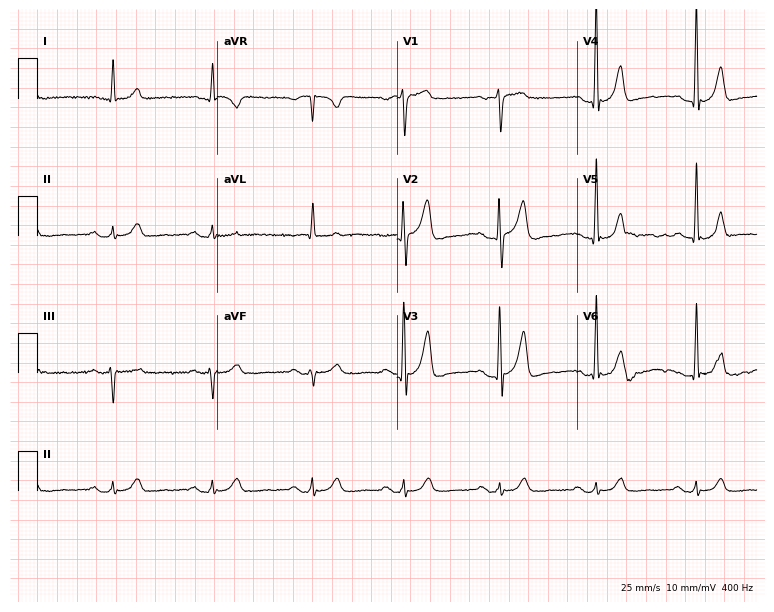
12-lead ECG from a 55-year-old man (7.3-second recording at 400 Hz). Recorded interpretation: within normal limits.